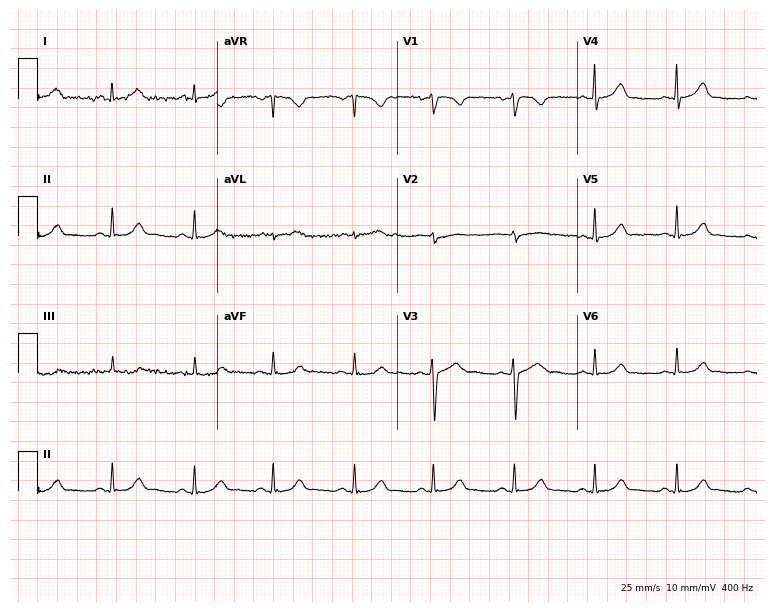
12-lead ECG from a 28-year-old female. Labelled as a normal ECG.